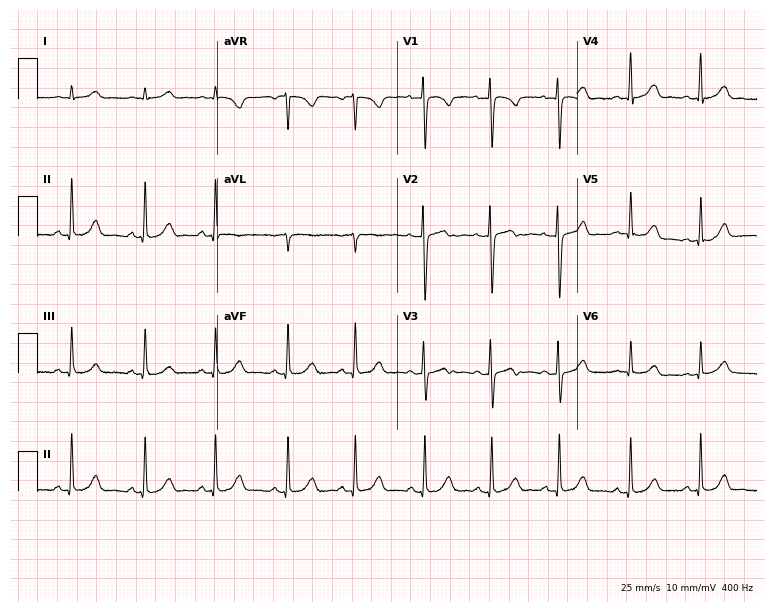
12-lead ECG from a 21-year-old female (7.3-second recording at 400 Hz). Recorded interpretation: within normal limits.